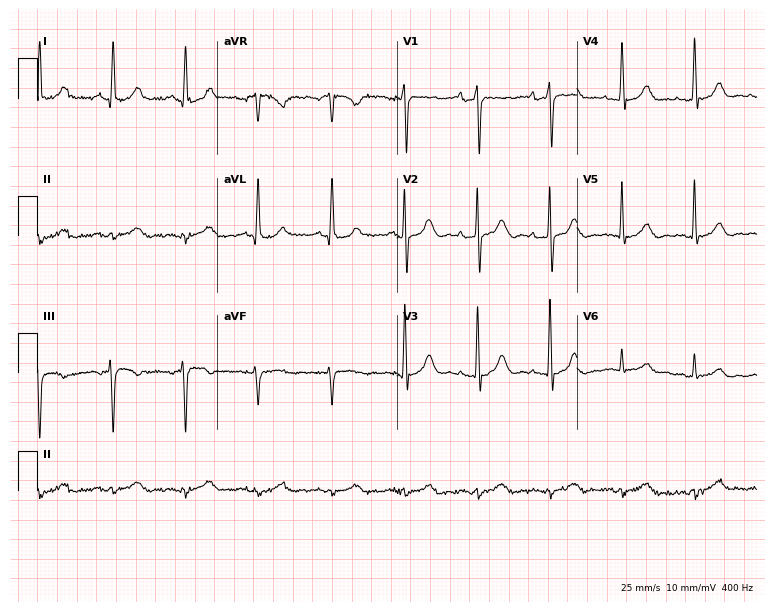
12-lead ECG from a 76-year-old female patient. Screened for six findings — first-degree AV block, right bundle branch block (RBBB), left bundle branch block (LBBB), sinus bradycardia, atrial fibrillation (AF), sinus tachycardia — none is recorded.